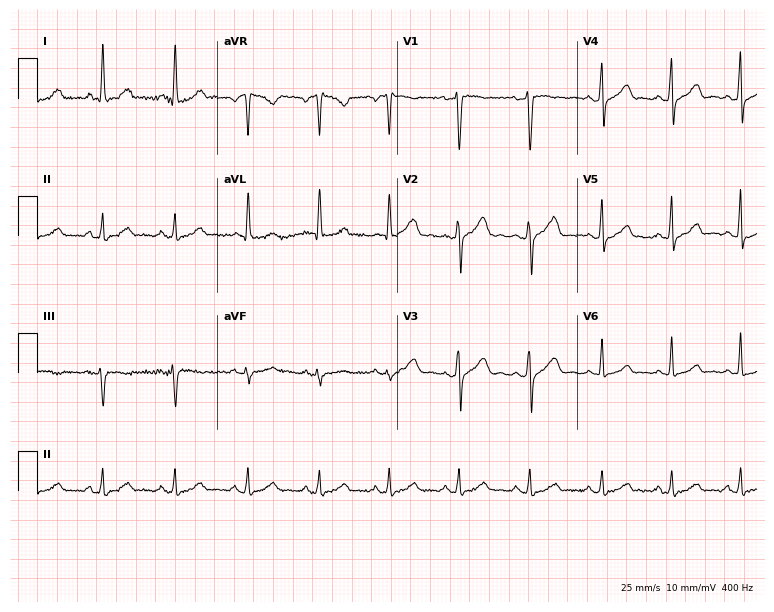
Resting 12-lead electrocardiogram. Patient: a 49-year-old female. Read as a normal ECG.